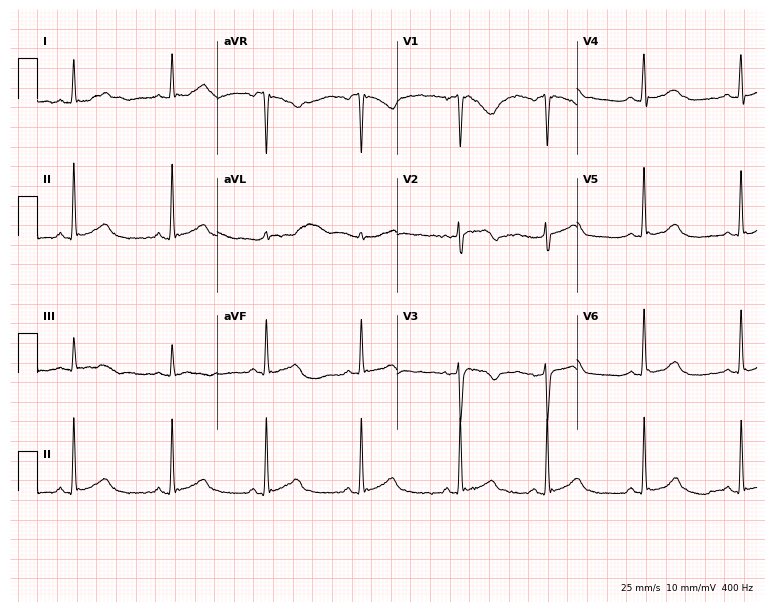
12-lead ECG from a 36-year-old woman. Recorded interpretation: within normal limits.